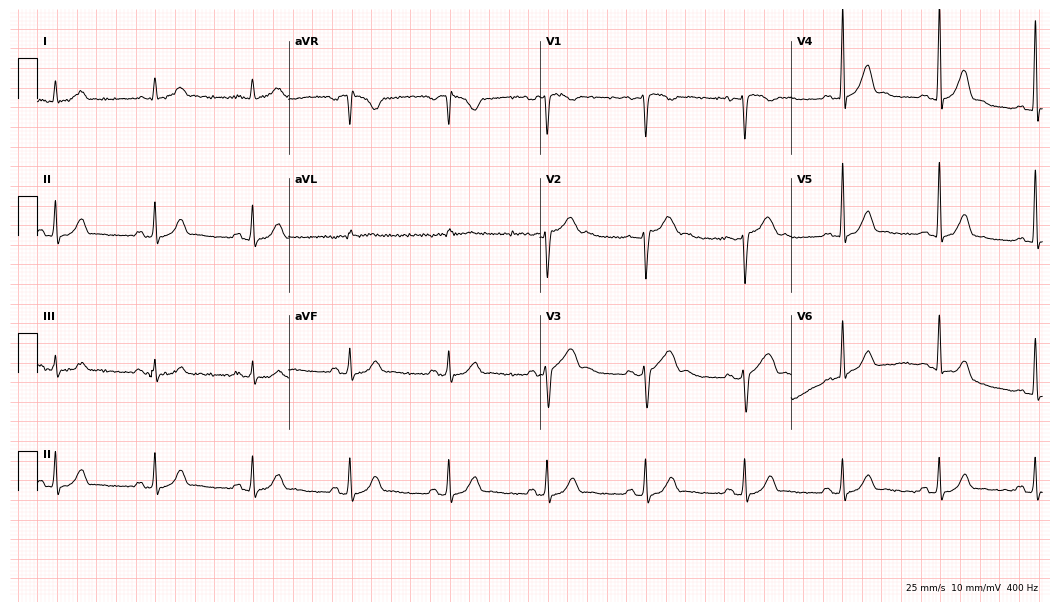
Standard 12-lead ECG recorded from a man, 53 years old (10.2-second recording at 400 Hz). Read as a normal ECG.